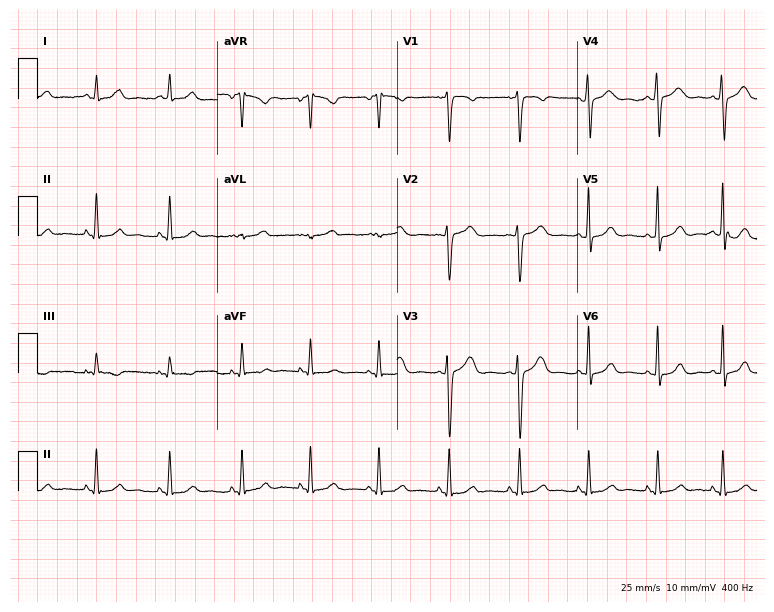
12-lead ECG (7.3-second recording at 400 Hz) from a 29-year-old woman. Screened for six findings — first-degree AV block, right bundle branch block, left bundle branch block, sinus bradycardia, atrial fibrillation, sinus tachycardia — none is recorded.